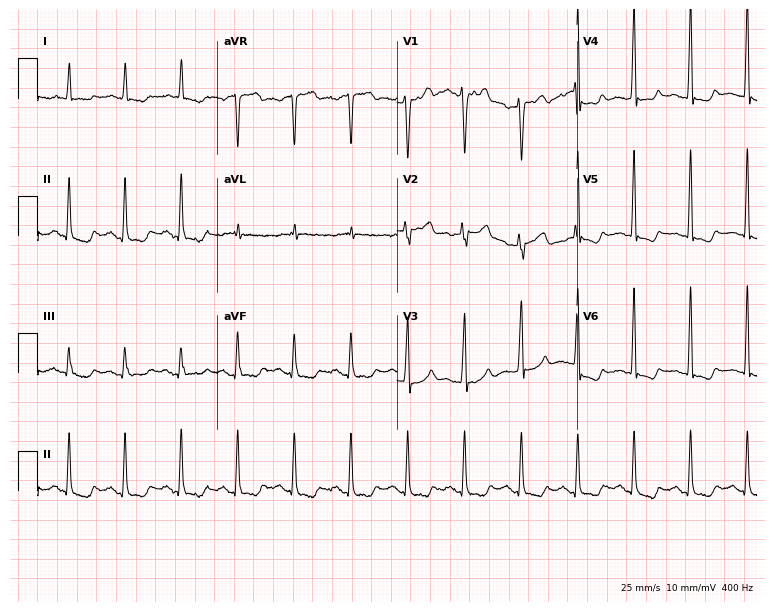
Resting 12-lead electrocardiogram (7.3-second recording at 400 Hz). Patient: a male, 67 years old. The tracing shows sinus tachycardia (a sinus rate of 100 beats per minute or more).